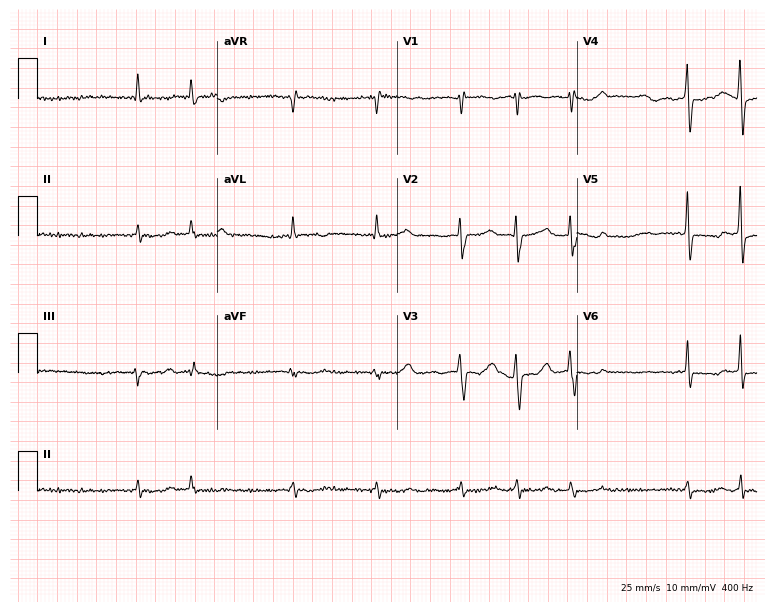
Resting 12-lead electrocardiogram. Patient: a male, 72 years old. The tracing shows atrial fibrillation.